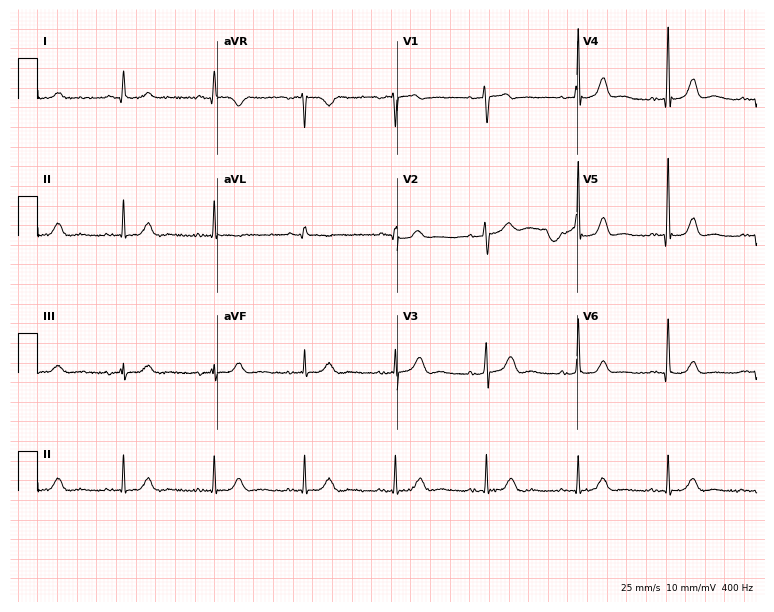
Standard 12-lead ECG recorded from a female, 66 years old (7.3-second recording at 400 Hz). Read as a normal ECG.